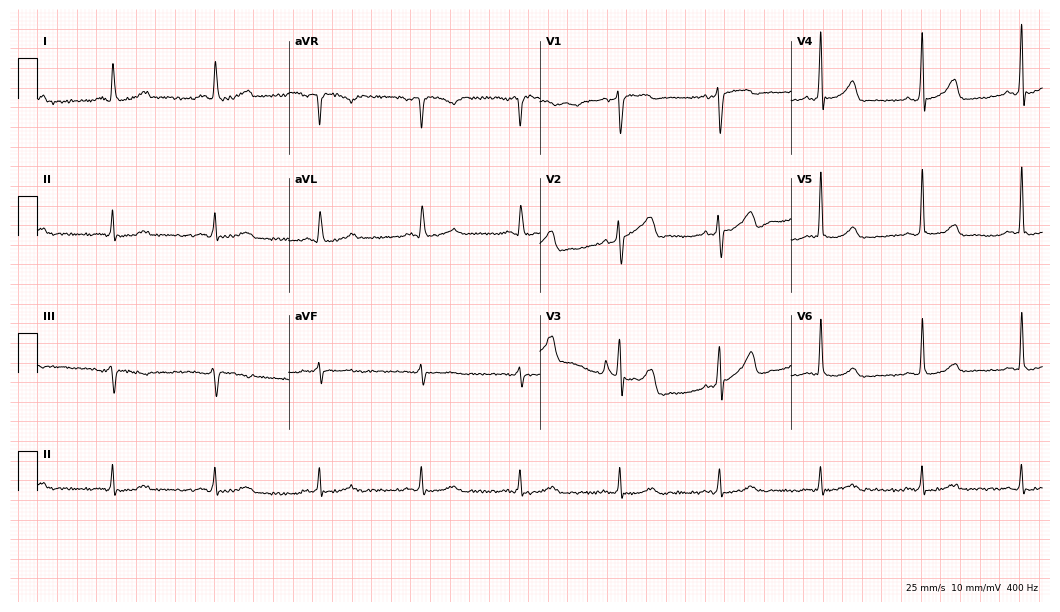
Standard 12-lead ECG recorded from a 59-year-old male (10.2-second recording at 400 Hz). None of these six findings is recorded: first-degree AV block, right bundle branch block, left bundle branch block, sinus bradycardia, atrial fibrillation, sinus tachycardia.